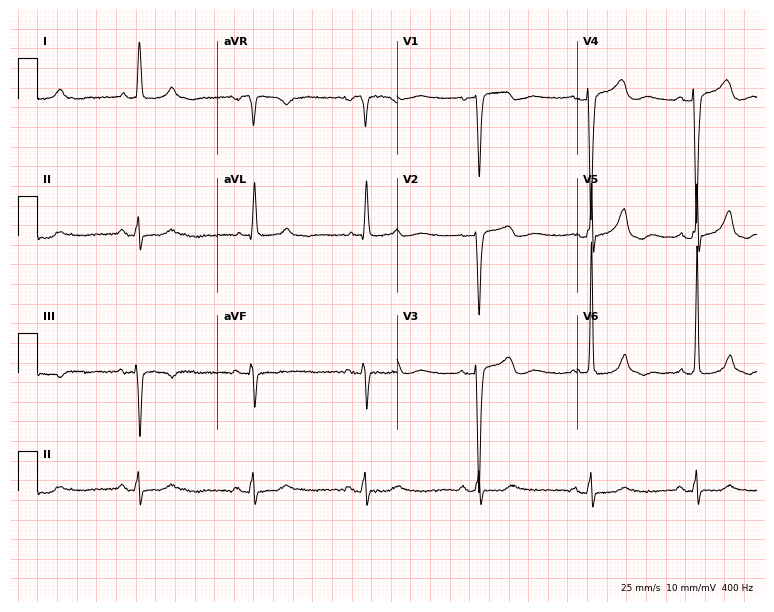
ECG — a female, 69 years old. Screened for six findings — first-degree AV block, right bundle branch block, left bundle branch block, sinus bradycardia, atrial fibrillation, sinus tachycardia — none is recorded.